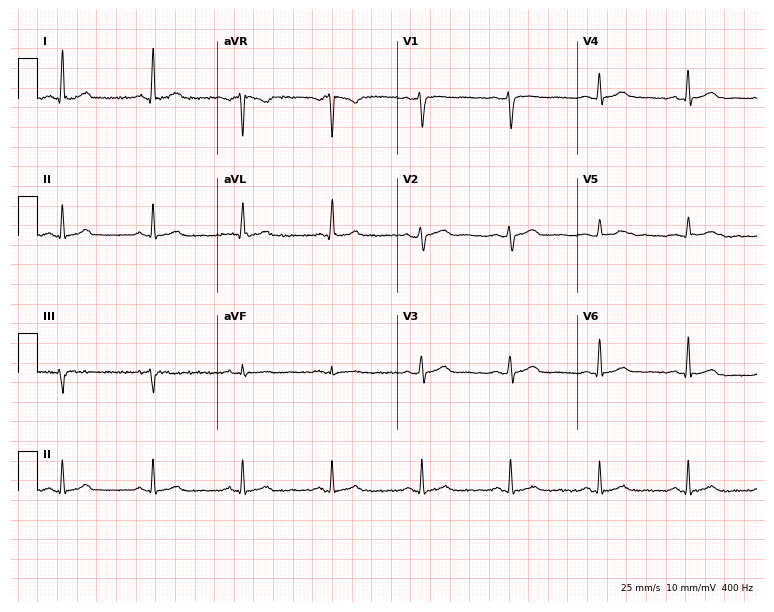
Resting 12-lead electrocardiogram (7.3-second recording at 400 Hz). Patient: a man, 43 years old. Read as a normal ECG.